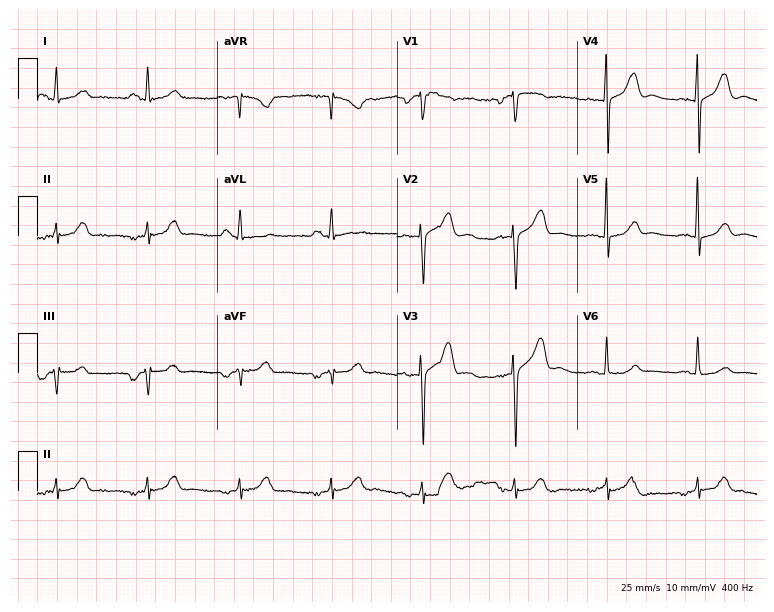
Resting 12-lead electrocardiogram (7.3-second recording at 400 Hz). Patient: a female, 67 years old. None of these six findings is recorded: first-degree AV block, right bundle branch block, left bundle branch block, sinus bradycardia, atrial fibrillation, sinus tachycardia. Findings outside these six are not listed.